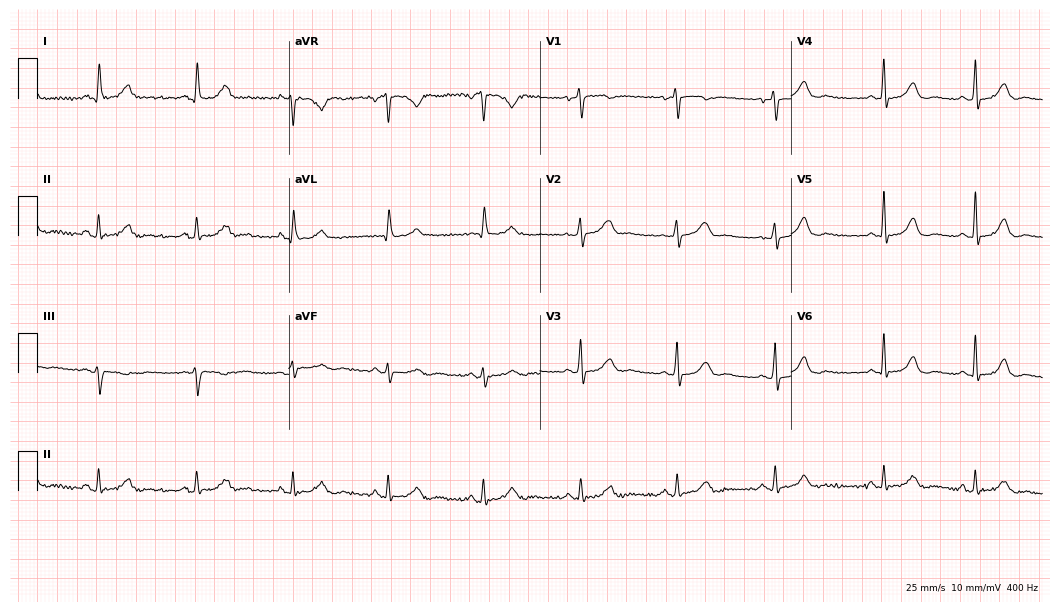
12-lead ECG from a woman, 62 years old. No first-degree AV block, right bundle branch block, left bundle branch block, sinus bradycardia, atrial fibrillation or sinus tachycardia recorded for this tracing. Findings outside these six are not listed.